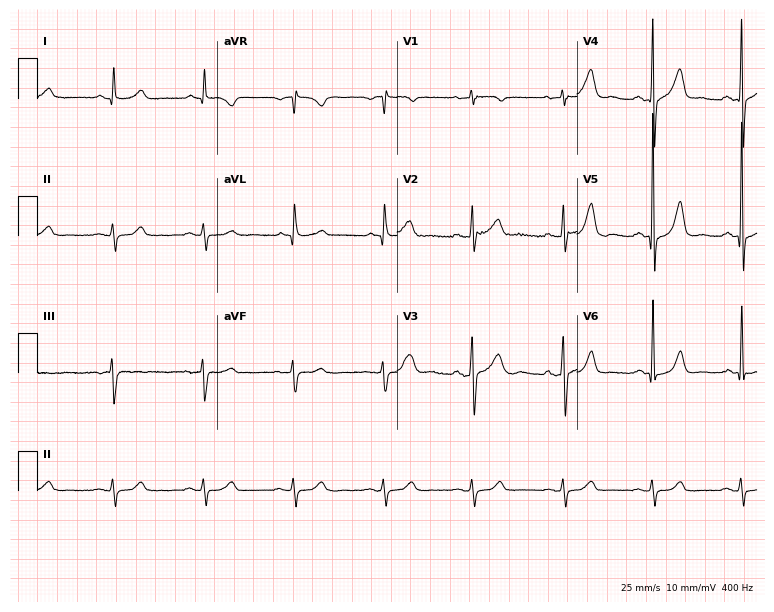
Standard 12-lead ECG recorded from a male patient, 72 years old (7.3-second recording at 400 Hz). Read as a normal ECG.